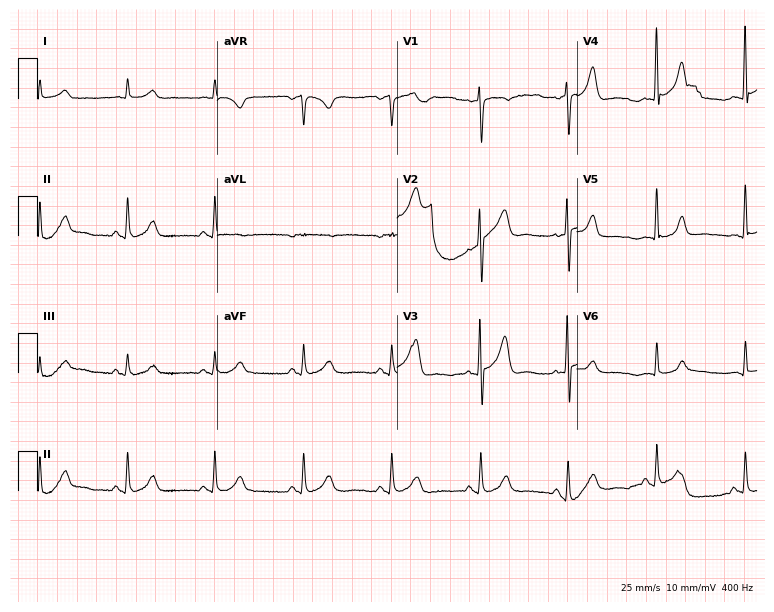
12-lead ECG from a male patient, 78 years old. Recorded interpretation: within normal limits.